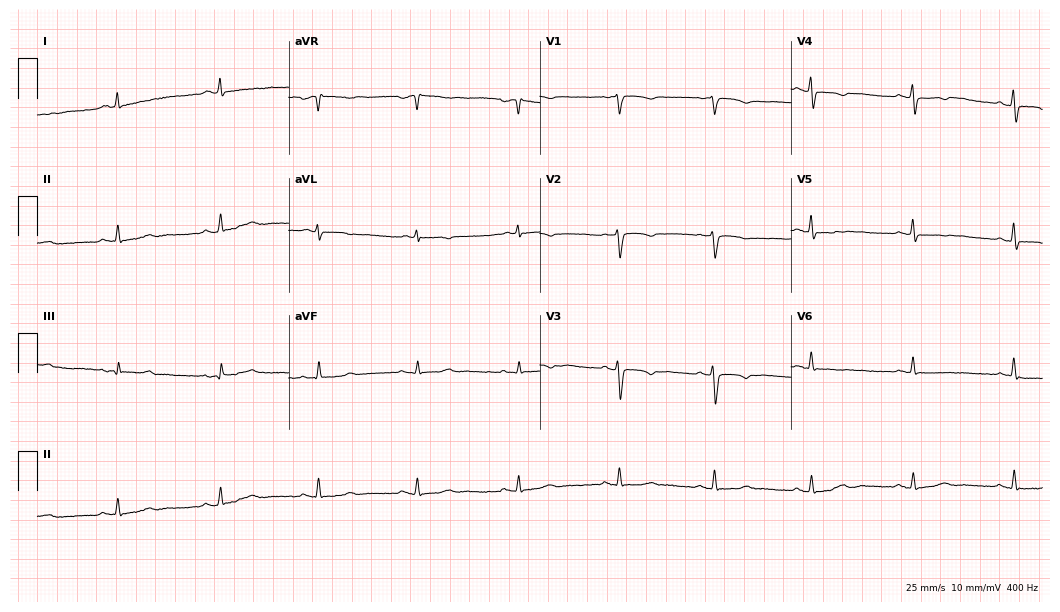
Resting 12-lead electrocardiogram (10.2-second recording at 400 Hz). Patient: a female, 63 years old. Read as a normal ECG.